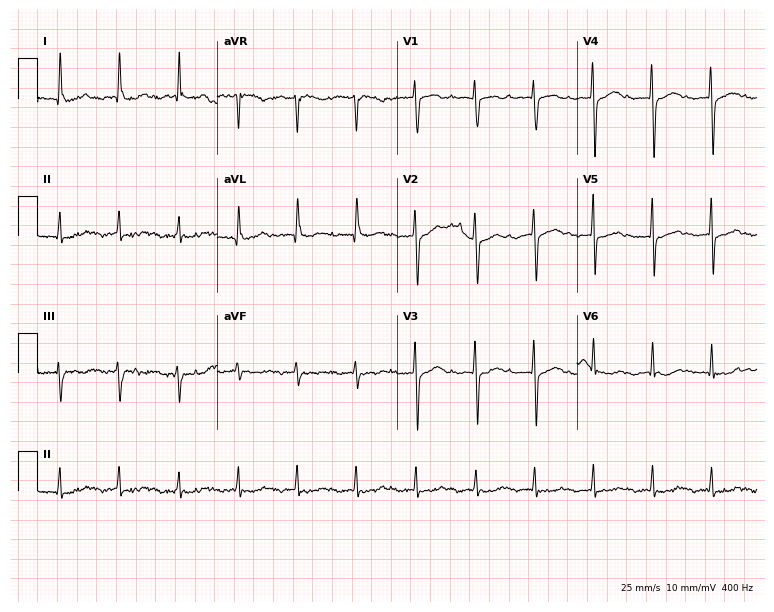
Electrocardiogram, a female patient, 63 years old. Interpretation includes first-degree AV block.